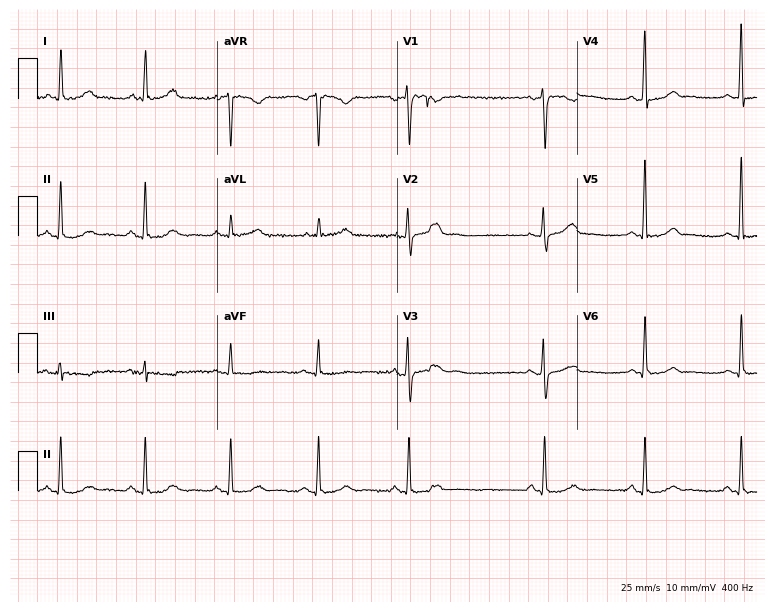
Standard 12-lead ECG recorded from a woman, 53 years old (7.3-second recording at 400 Hz). None of these six findings is recorded: first-degree AV block, right bundle branch block, left bundle branch block, sinus bradycardia, atrial fibrillation, sinus tachycardia. Other findings, if any, are not listed.